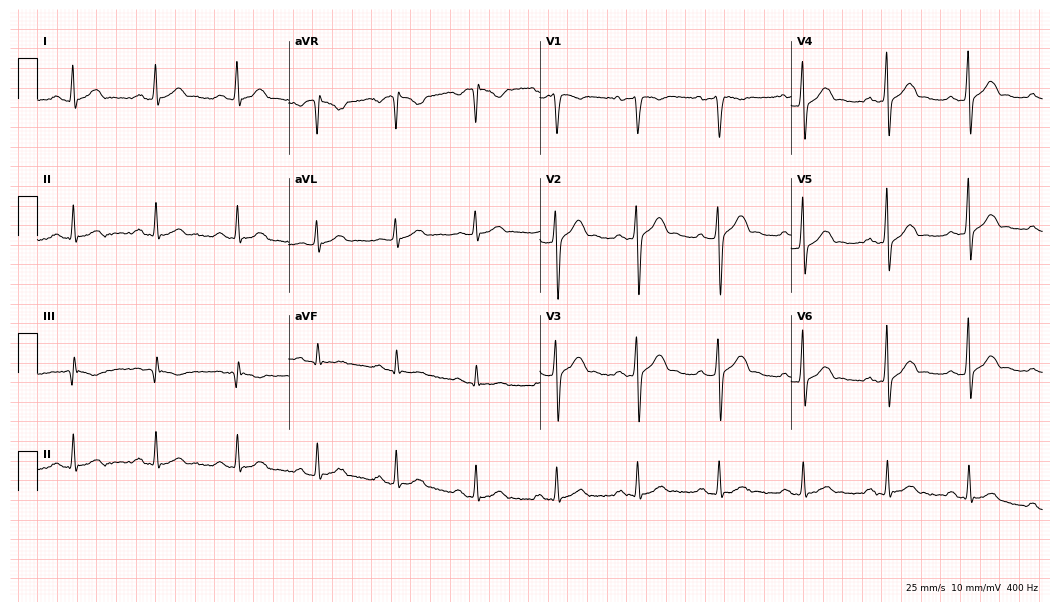
Electrocardiogram, a male patient, 35 years old. Overall reading on record: normal ECG.